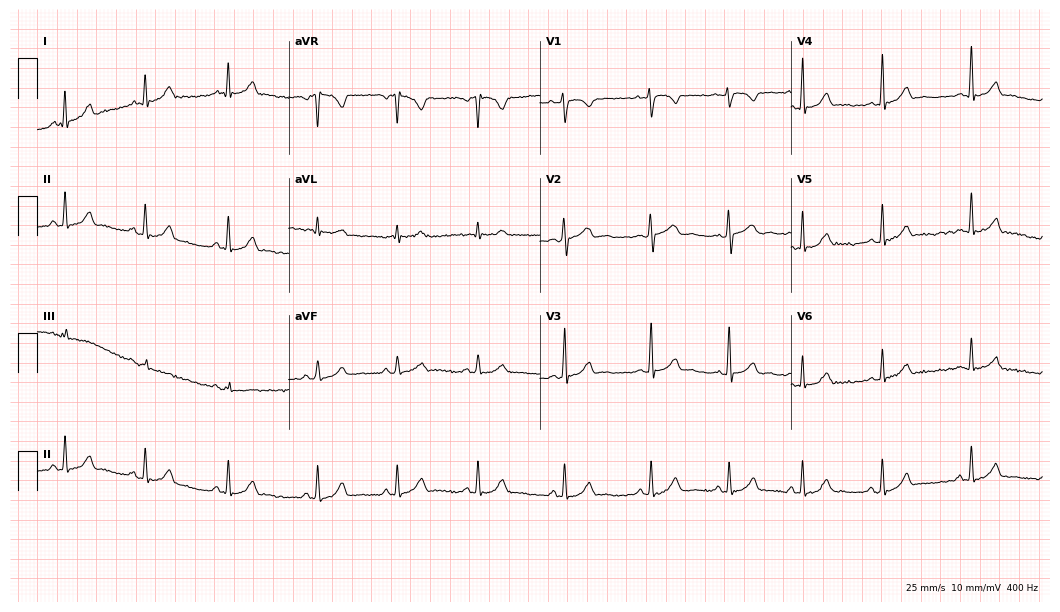
12-lead ECG from an 18-year-old female patient. Labelled as a normal ECG.